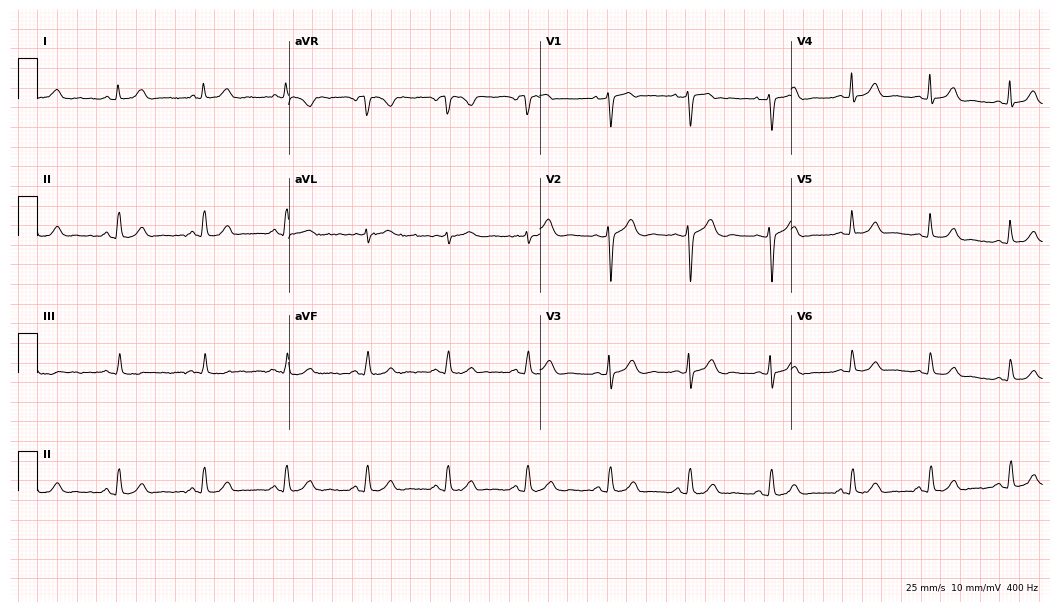
Standard 12-lead ECG recorded from a 50-year-old woman. Read as a normal ECG.